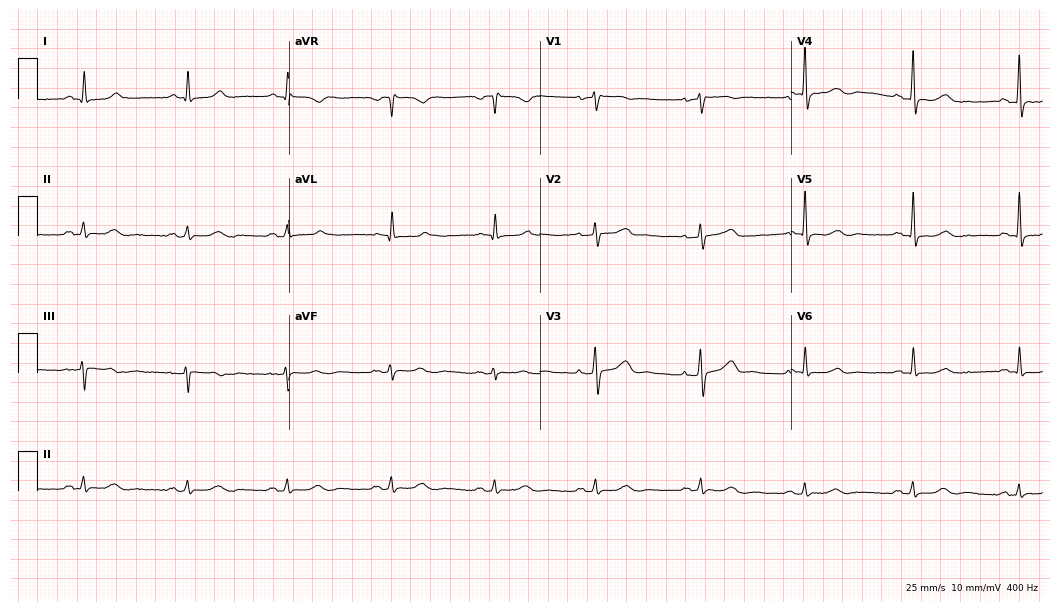
12-lead ECG from a 60-year-old female. Recorded interpretation: within normal limits.